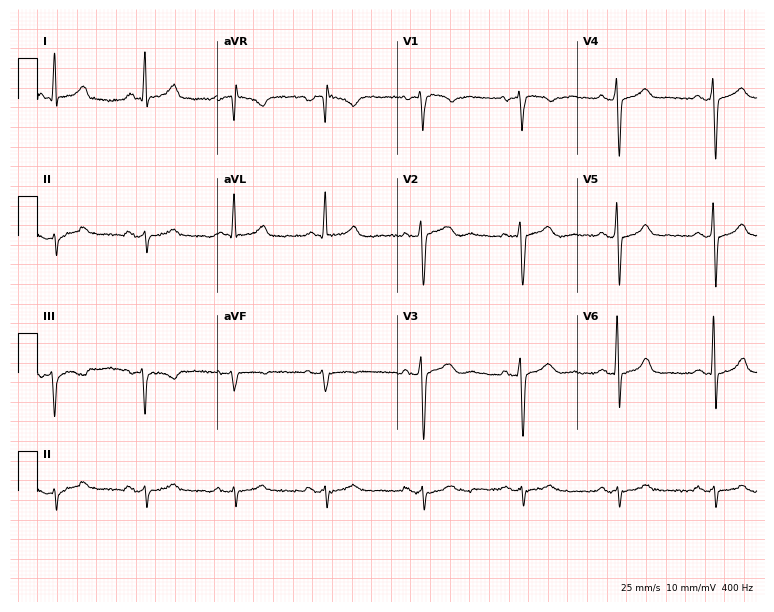
Standard 12-lead ECG recorded from a male patient, 70 years old. None of these six findings is recorded: first-degree AV block, right bundle branch block, left bundle branch block, sinus bradycardia, atrial fibrillation, sinus tachycardia. Only these six findings were labelled.